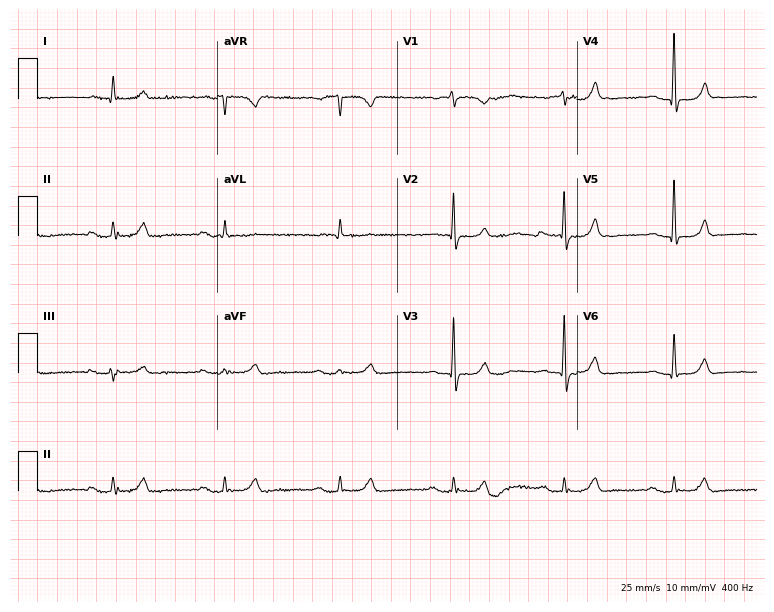
12-lead ECG from a female patient, 83 years old. Recorded interpretation: within normal limits.